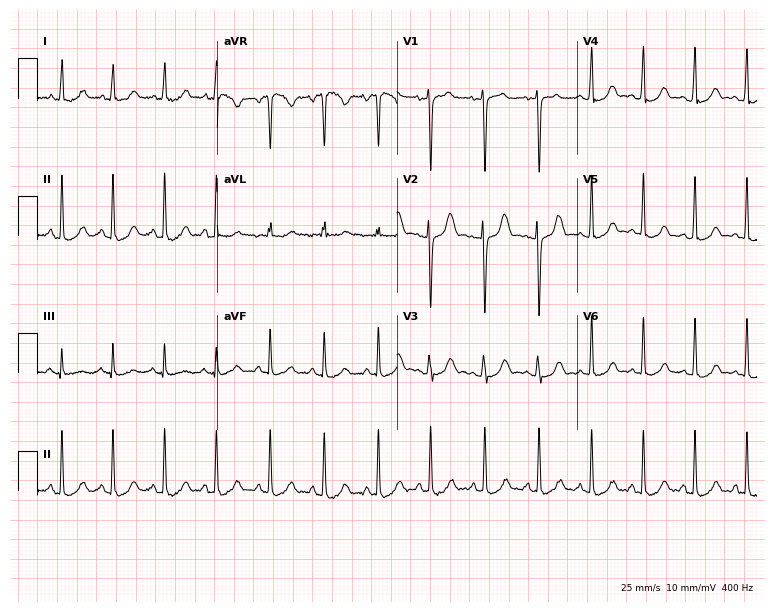
Resting 12-lead electrocardiogram (7.3-second recording at 400 Hz). Patient: a 30-year-old woman. None of these six findings is recorded: first-degree AV block, right bundle branch block, left bundle branch block, sinus bradycardia, atrial fibrillation, sinus tachycardia. Findings outside these six are not listed.